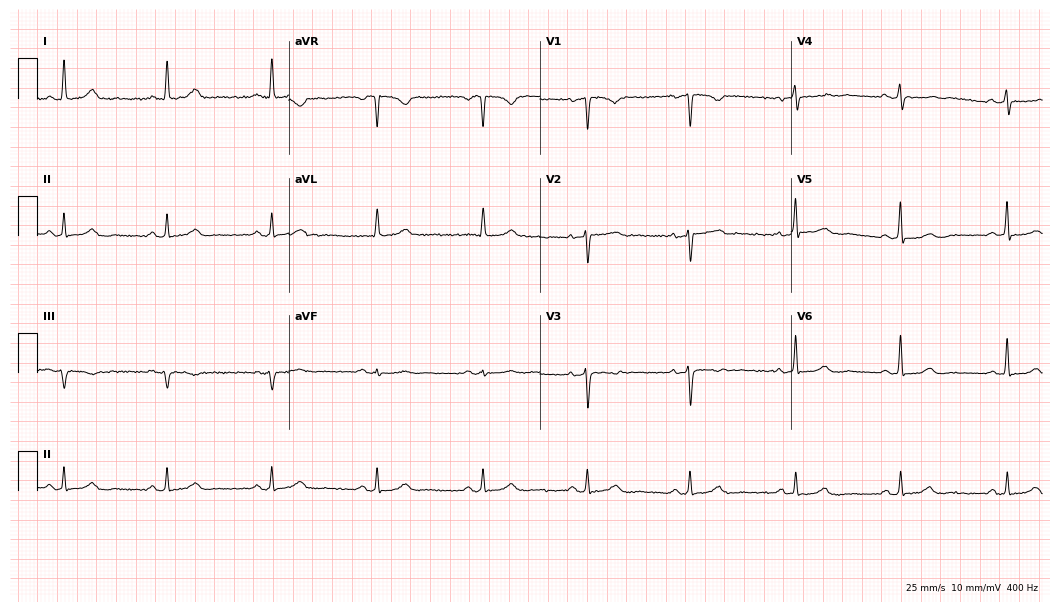
12-lead ECG (10.2-second recording at 400 Hz) from a female patient, 56 years old. Labelled as a normal ECG.